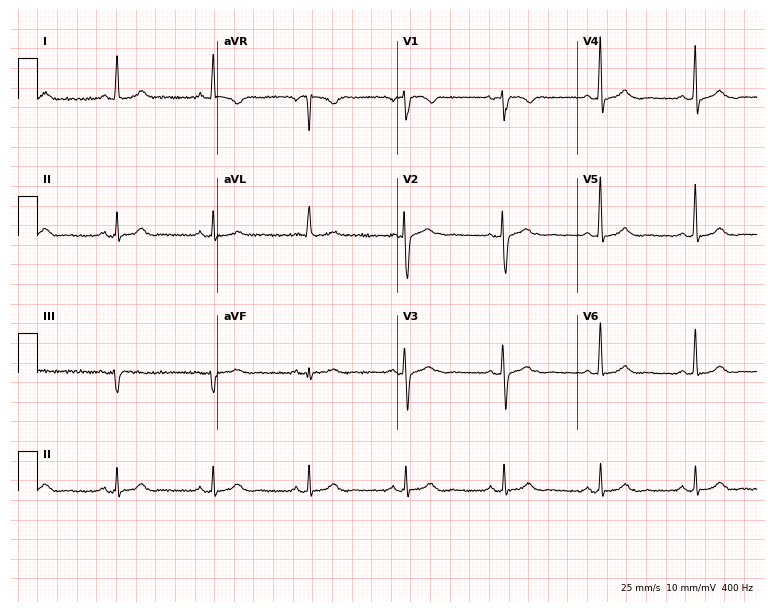
Standard 12-lead ECG recorded from a 67-year-old female patient. Read as a normal ECG.